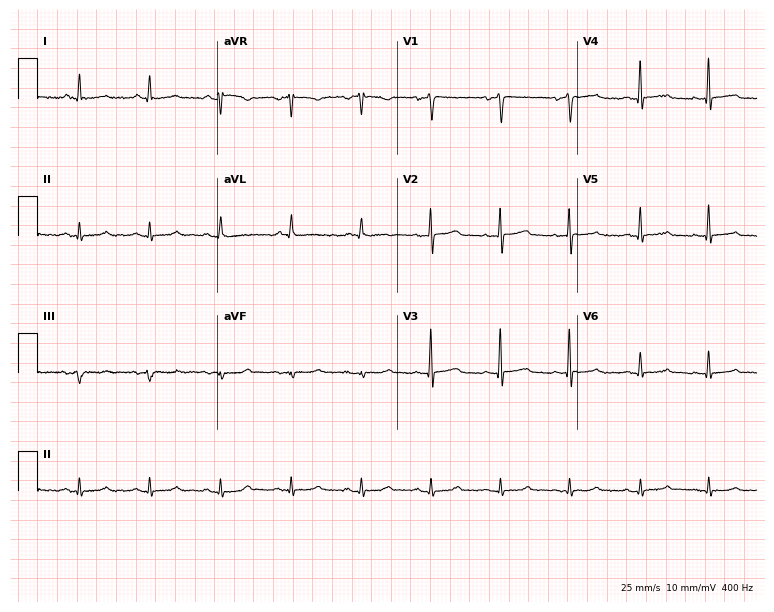
Resting 12-lead electrocardiogram. Patient: a female, 69 years old. Read as a normal ECG.